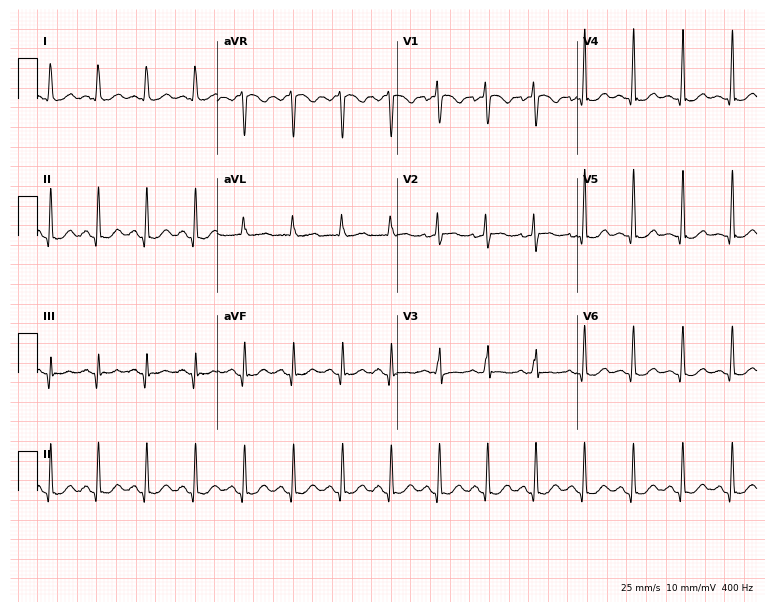
12-lead ECG from a 37-year-old female patient (7.3-second recording at 400 Hz). Shows sinus tachycardia (a sinus rate of 100 beats per minute or more).